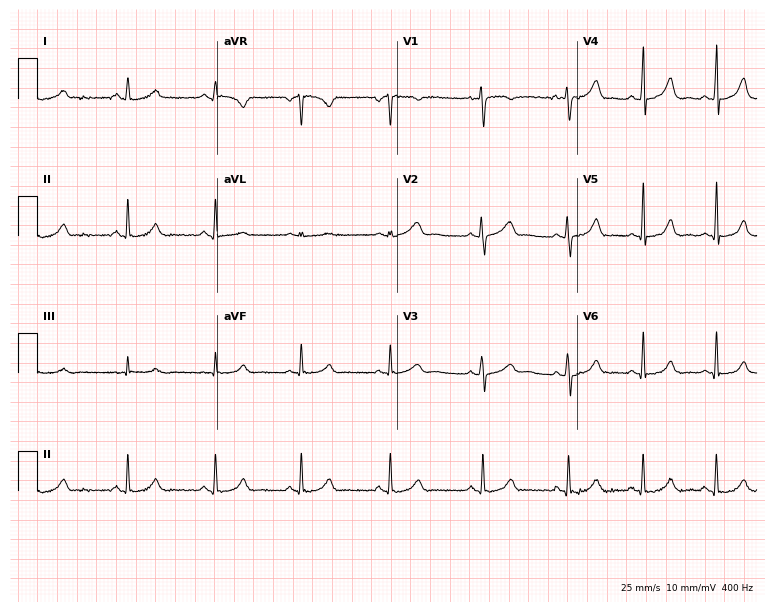
Resting 12-lead electrocardiogram. Patient: a 22-year-old female. Read as a normal ECG.